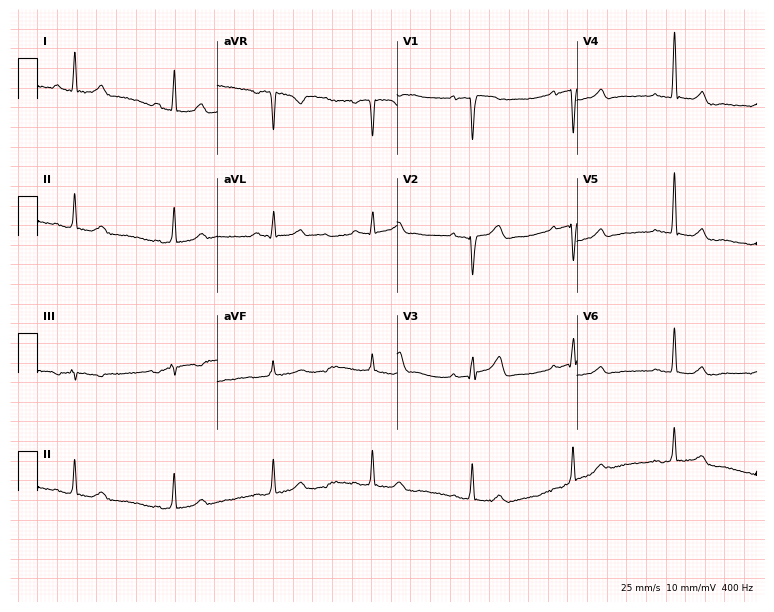
Resting 12-lead electrocardiogram (7.3-second recording at 400 Hz). Patient: a man, 52 years old. None of these six findings is recorded: first-degree AV block, right bundle branch block, left bundle branch block, sinus bradycardia, atrial fibrillation, sinus tachycardia. Only these six findings were labelled.